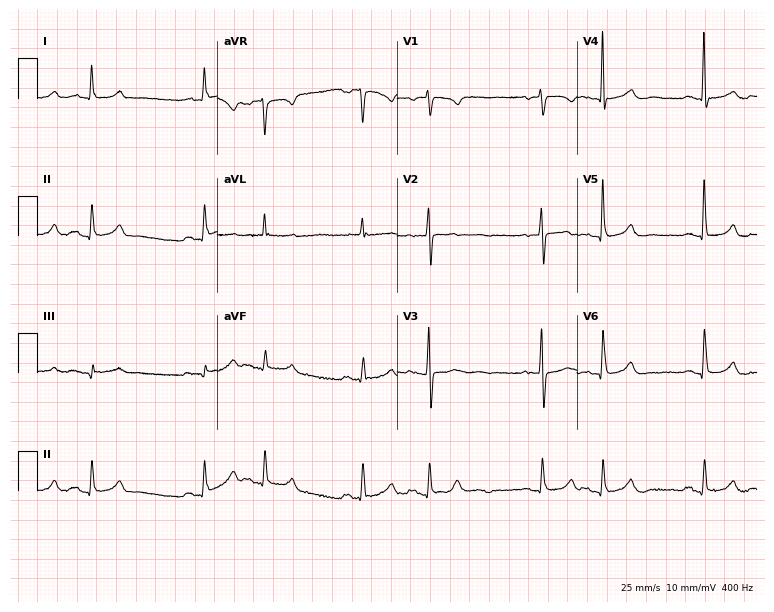
Electrocardiogram, a 68-year-old woman. Of the six screened findings (first-degree AV block, right bundle branch block (RBBB), left bundle branch block (LBBB), sinus bradycardia, atrial fibrillation (AF), sinus tachycardia), none is recorded. Only these six findings were labelled.